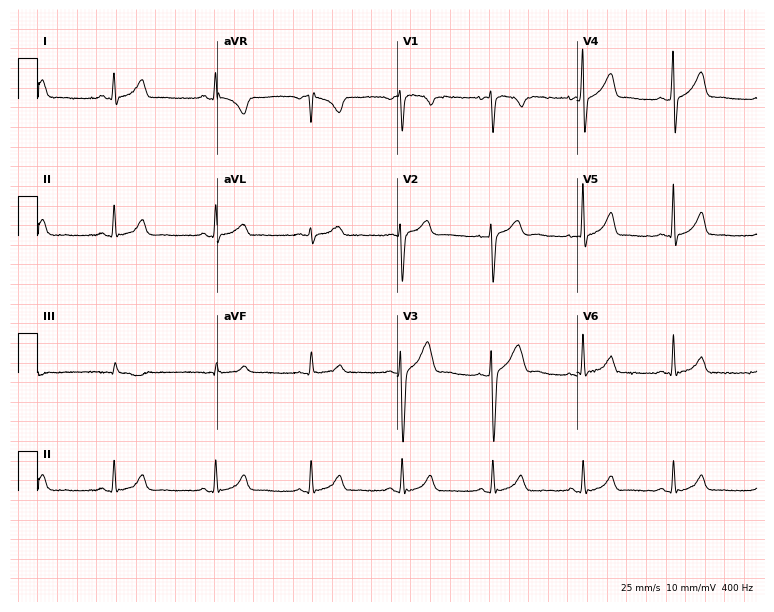
Standard 12-lead ECG recorded from a 28-year-old male patient. Read as a normal ECG.